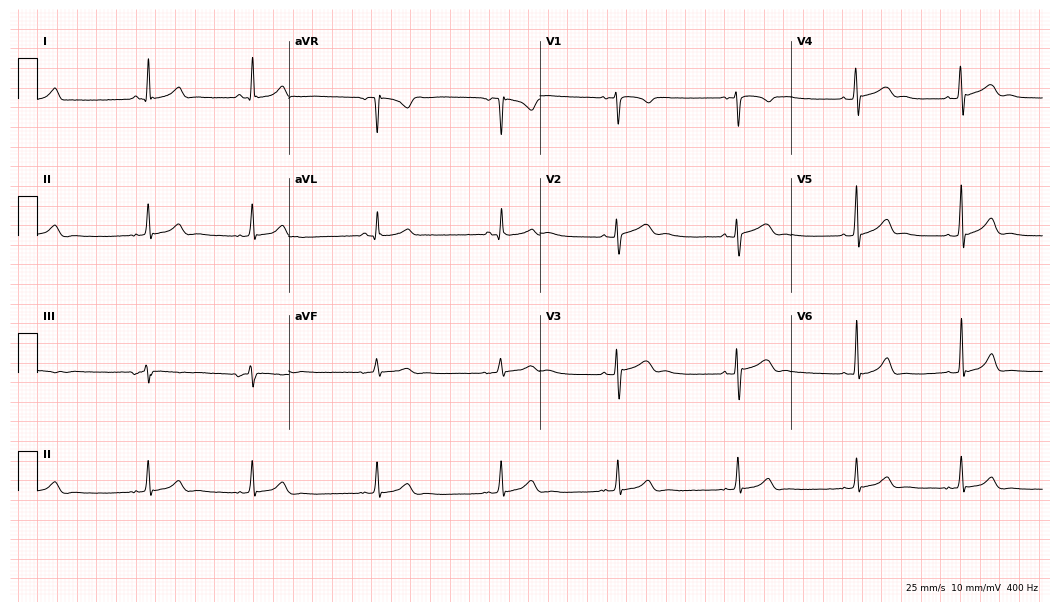
ECG (10.2-second recording at 400 Hz) — a female, 24 years old. Labelled as a normal ECG.